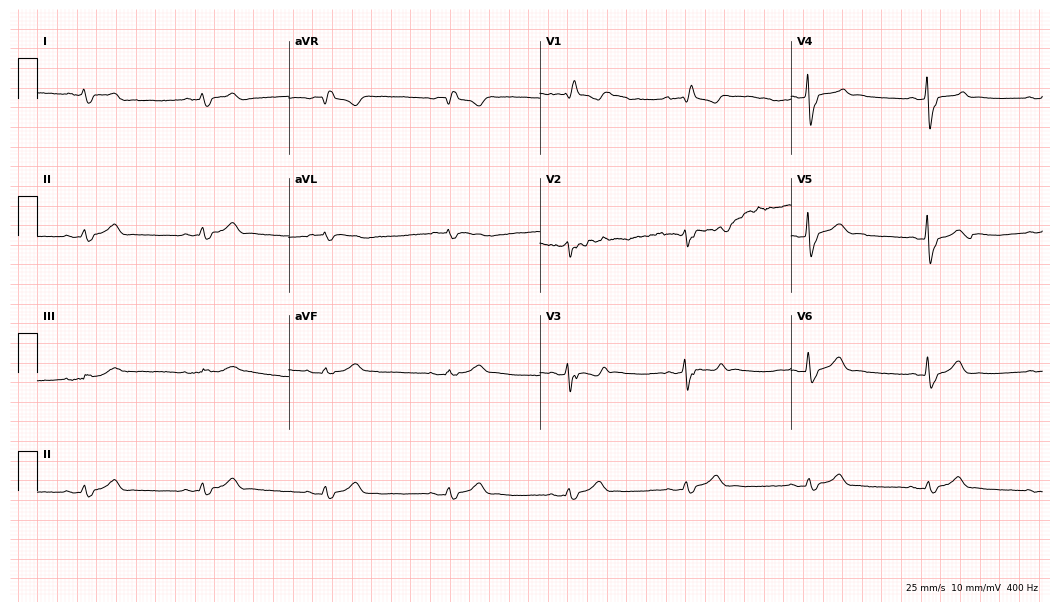
Electrocardiogram, a male, 59 years old. Of the six screened findings (first-degree AV block, right bundle branch block (RBBB), left bundle branch block (LBBB), sinus bradycardia, atrial fibrillation (AF), sinus tachycardia), none is recorded.